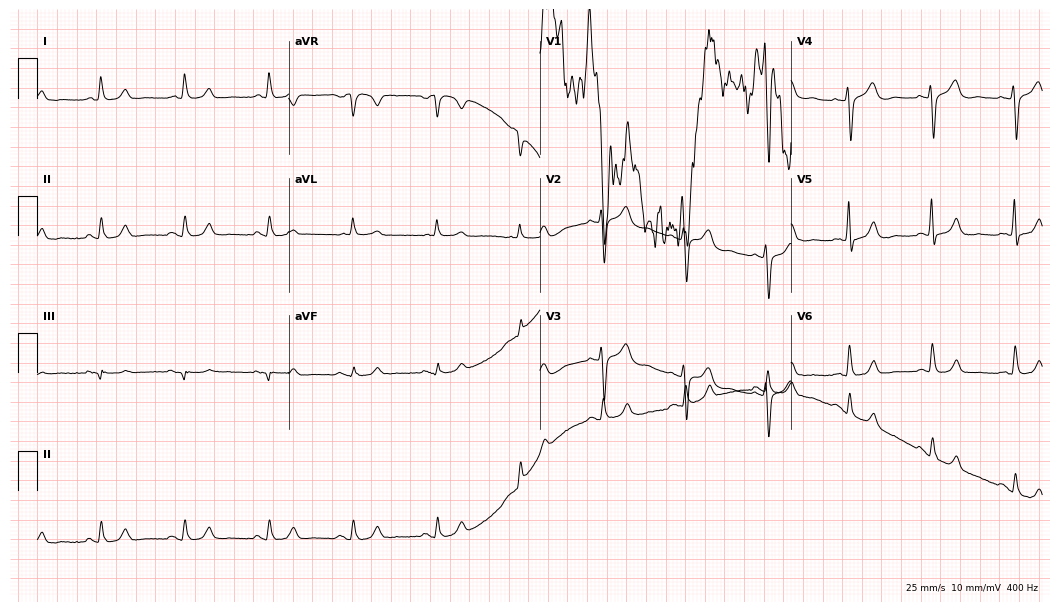
12-lead ECG from a 70-year-old male. Screened for six findings — first-degree AV block, right bundle branch block, left bundle branch block, sinus bradycardia, atrial fibrillation, sinus tachycardia — none is recorded. Findings outside these six are not listed.